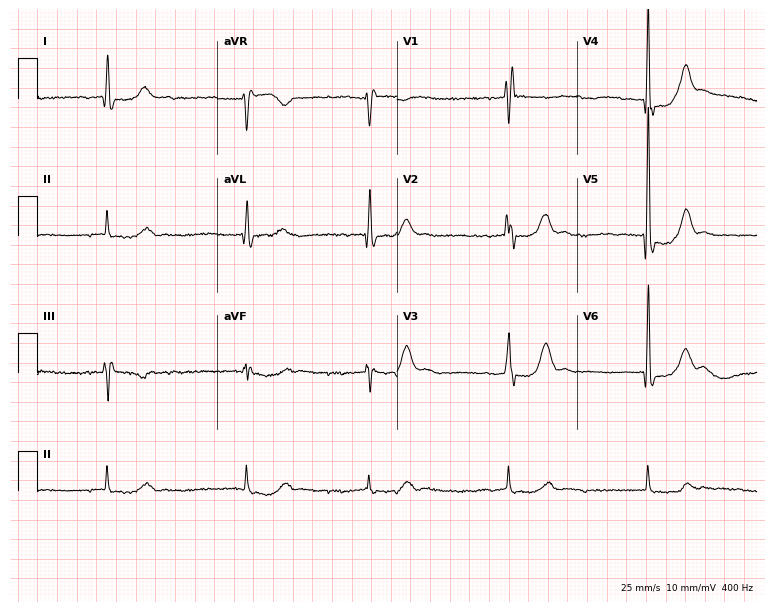
Electrocardiogram, a female, 74 years old. Interpretation includes right bundle branch block, atrial fibrillation.